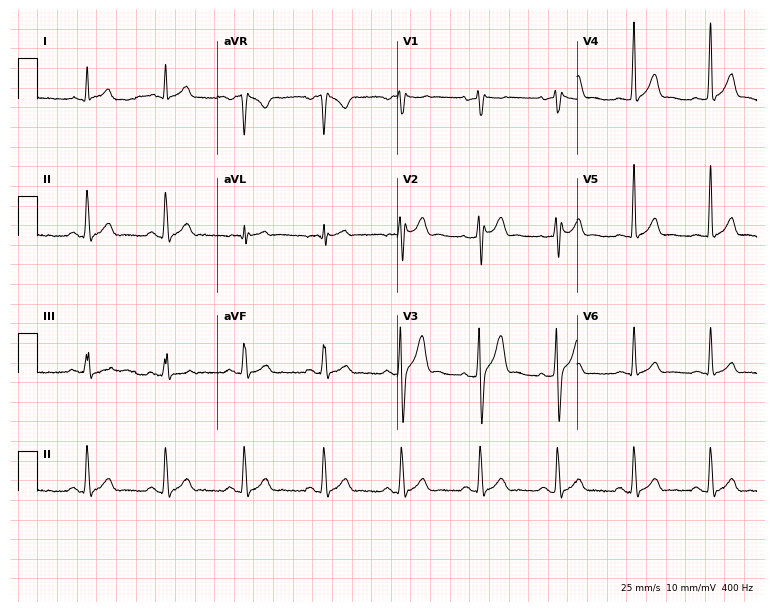
Electrocardiogram, a man, 28 years old. Of the six screened findings (first-degree AV block, right bundle branch block, left bundle branch block, sinus bradycardia, atrial fibrillation, sinus tachycardia), none is recorded.